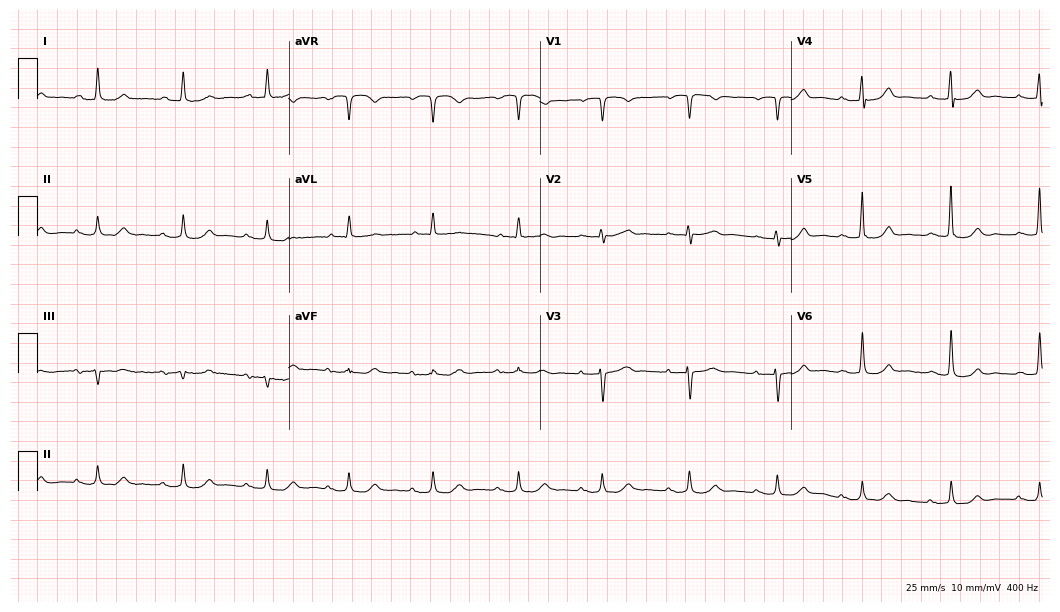
12-lead ECG from a male, 82 years old. Shows first-degree AV block.